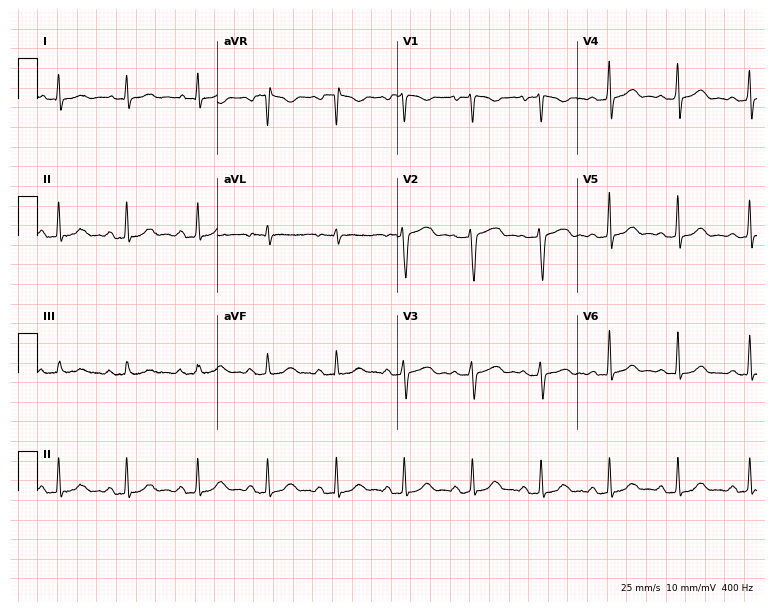
ECG (7.3-second recording at 400 Hz) — a woman, 40 years old. Labelled as a normal ECG.